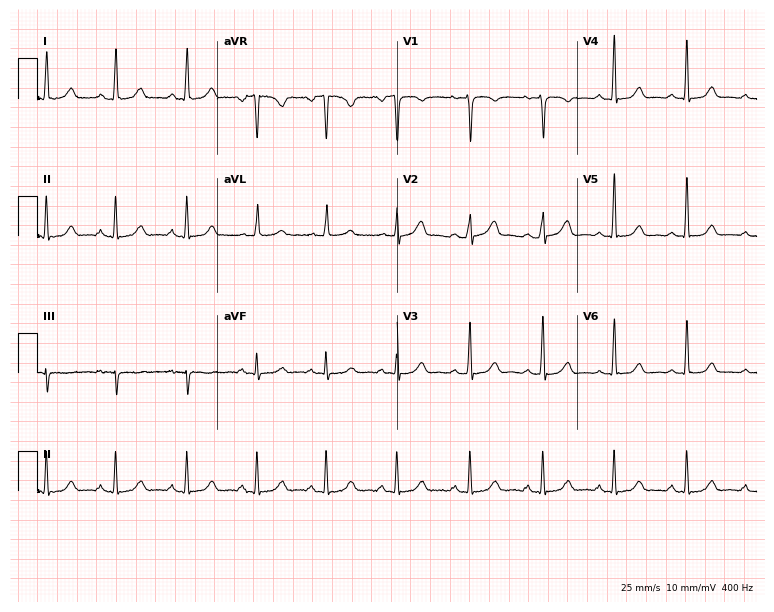
12-lead ECG from a female, 42 years old (7.3-second recording at 400 Hz). Recorded interpretation: within normal limits.